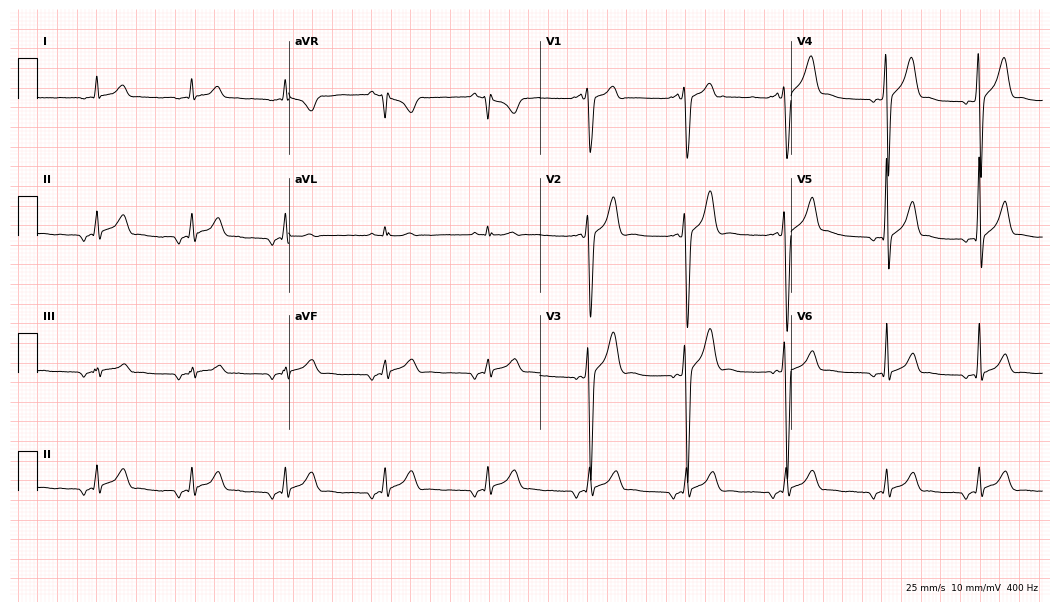
ECG — a man, 20 years old. Screened for six findings — first-degree AV block, right bundle branch block (RBBB), left bundle branch block (LBBB), sinus bradycardia, atrial fibrillation (AF), sinus tachycardia — none is recorded. Other findings, if any, are not listed.